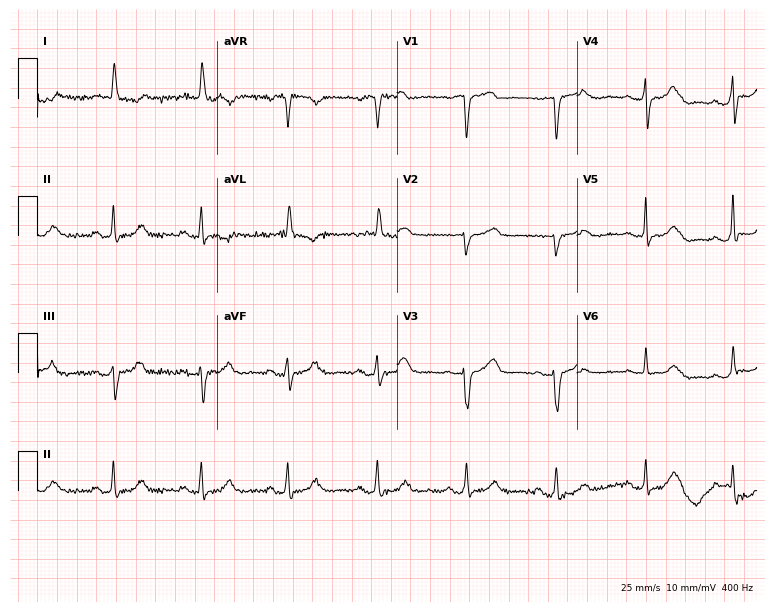
Standard 12-lead ECG recorded from a woman, 81 years old. None of these six findings is recorded: first-degree AV block, right bundle branch block, left bundle branch block, sinus bradycardia, atrial fibrillation, sinus tachycardia. Findings outside these six are not listed.